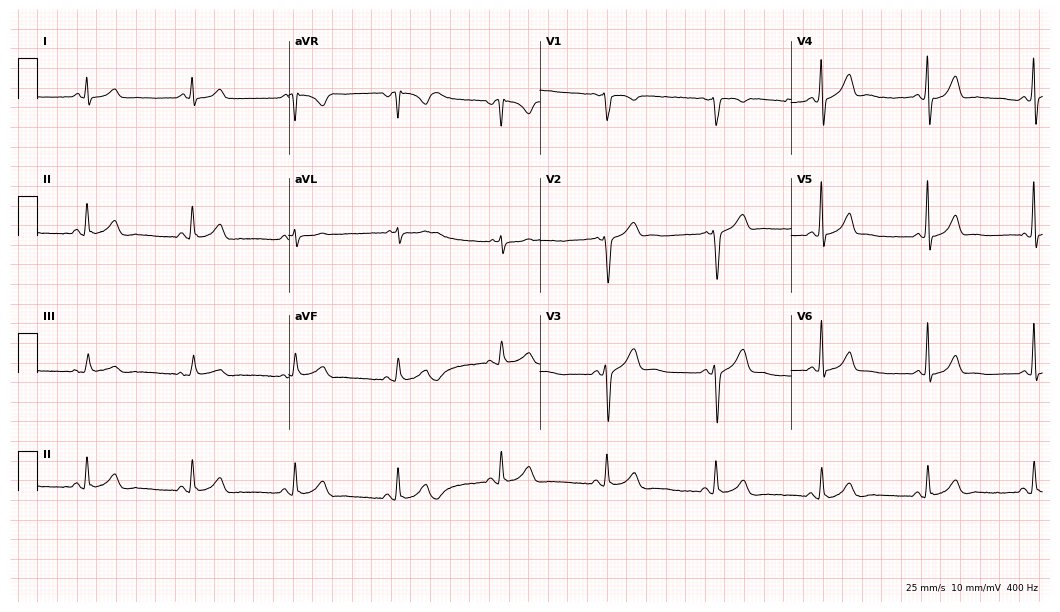
Electrocardiogram, a 54-year-old man. Overall reading on record: normal ECG.